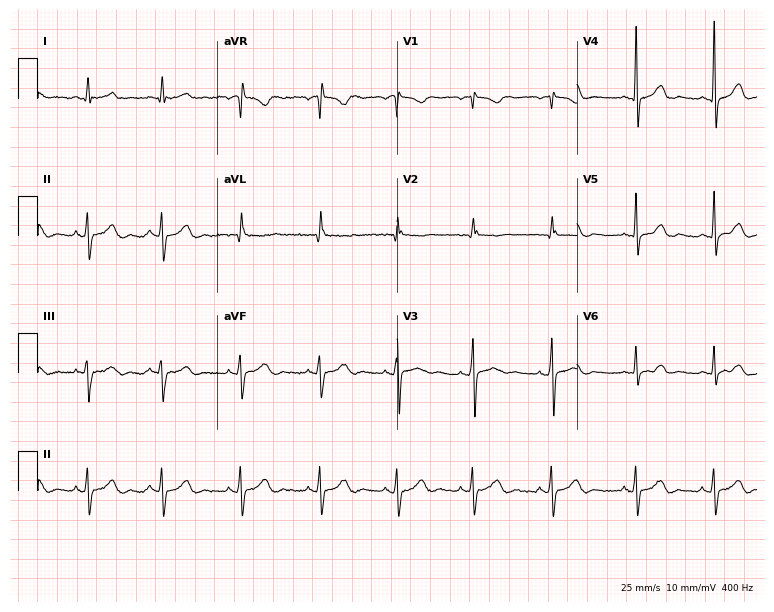
ECG (7.3-second recording at 400 Hz) — a 38-year-old woman. Screened for six findings — first-degree AV block, right bundle branch block (RBBB), left bundle branch block (LBBB), sinus bradycardia, atrial fibrillation (AF), sinus tachycardia — none is recorded.